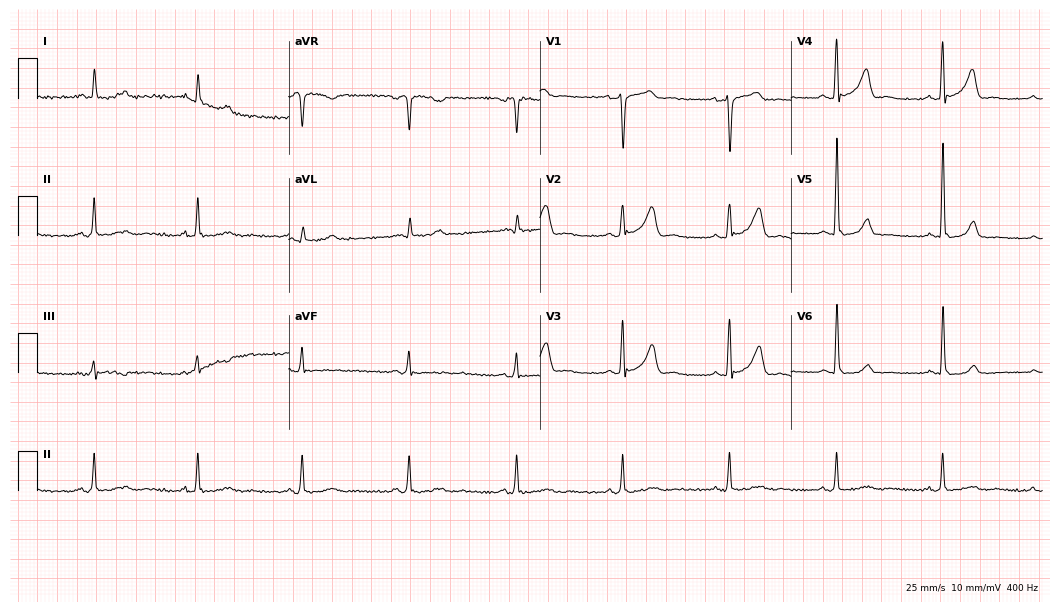
12-lead ECG from a 47-year-old male patient. Recorded interpretation: within normal limits.